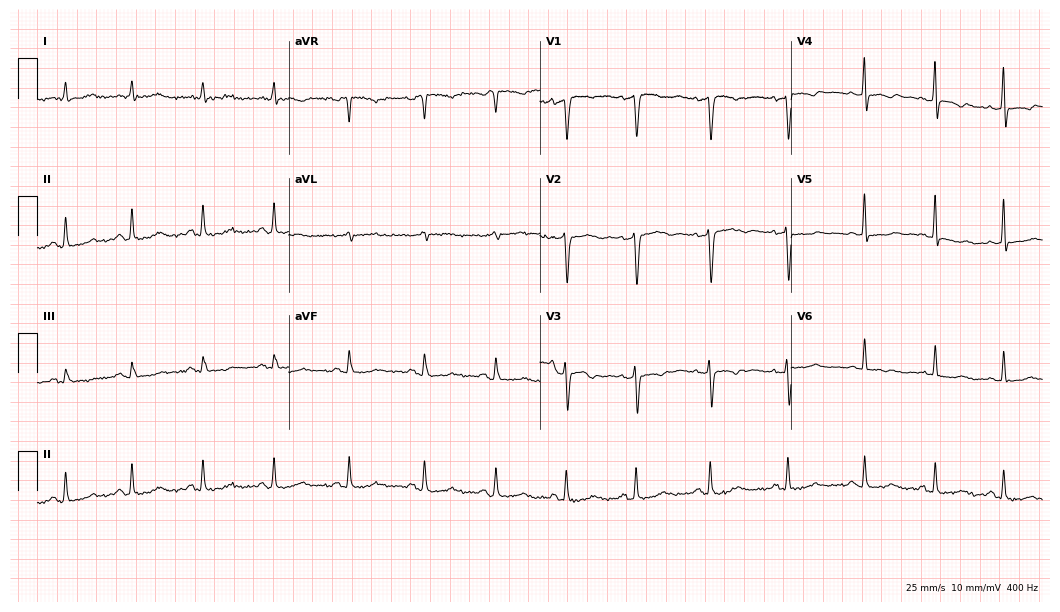
Standard 12-lead ECG recorded from a man, 52 years old (10.2-second recording at 400 Hz). None of these six findings is recorded: first-degree AV block, right bundle branch block, left bundle branch block, sinus bradycardia, atrial fibrillation, sinus tachycardia. Other findings, if any, are not listed.